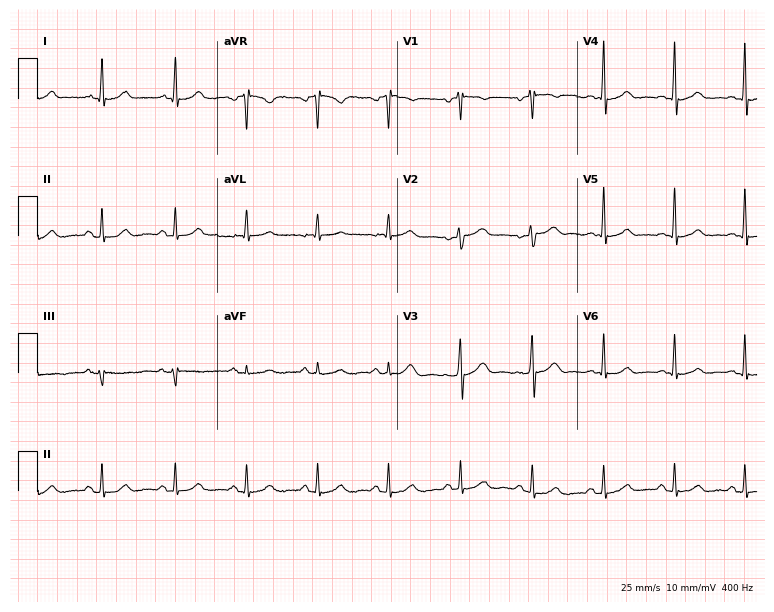
12-lead ECG from a female patient, 57 years old (7.3-second recording at 400 Hz). No first-degree AV block, right bundle branch block, left bundle branch block, sinus bradycardia, atrial fibrillation or sinus tachycardia recorded for this tracing. Findings outside these six are not listed.